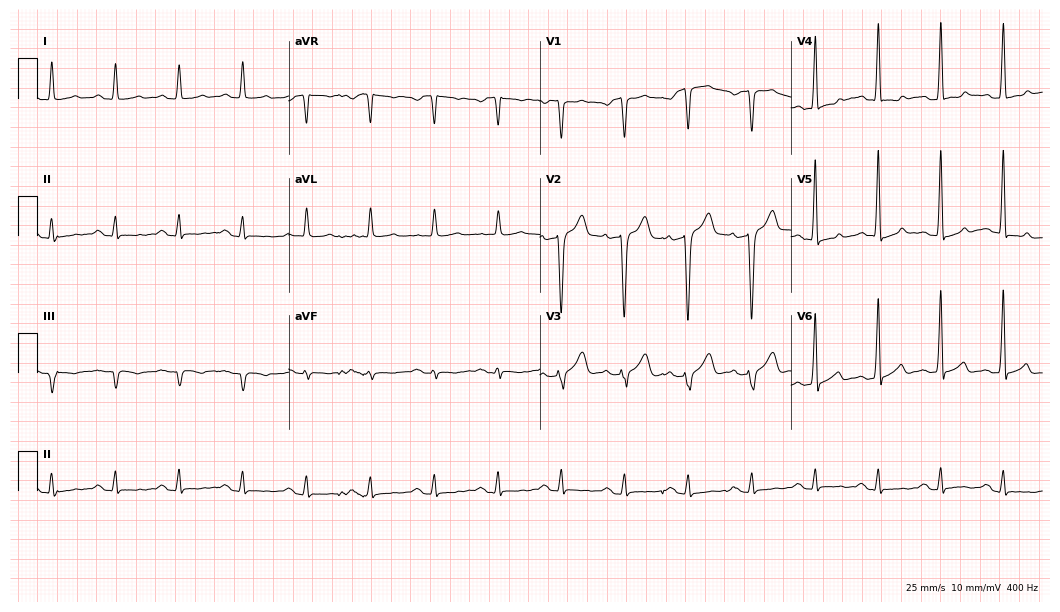
Electrocardiogram (10.2-second recording at 400 Hz), a male, 54 years old. Of the six screened findings (first-degree AV block, right bundle branch block, left bundle branch block, sinus bradycardia, atrial fibrillation, sinus tachycardia), none is recorded. Only these six findings were labelled.